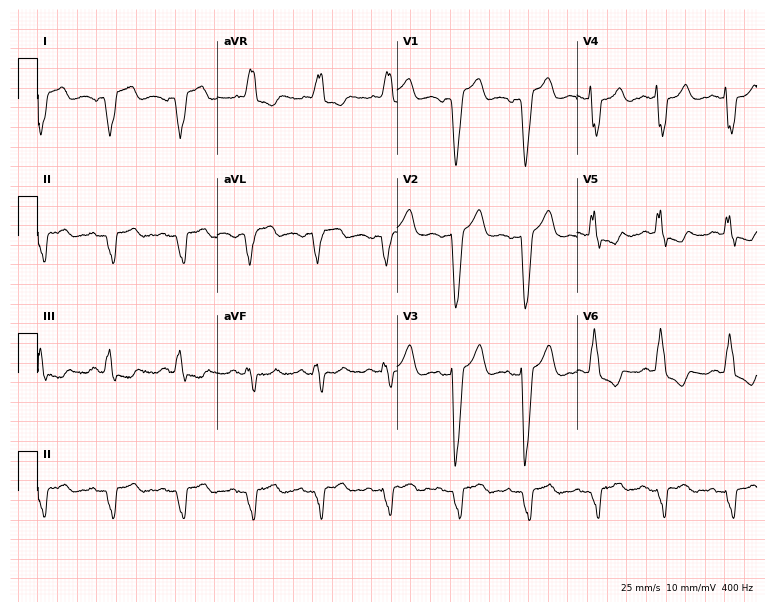
12-lead ECG from a woman, 78 years old (7.3-second recording at 400 Hz). No first-degree AV block, right bundle branch block, left bundle branch block, sinus bradycardia, atrial fibrillation or sinus tachycardia recorded for this tracing.